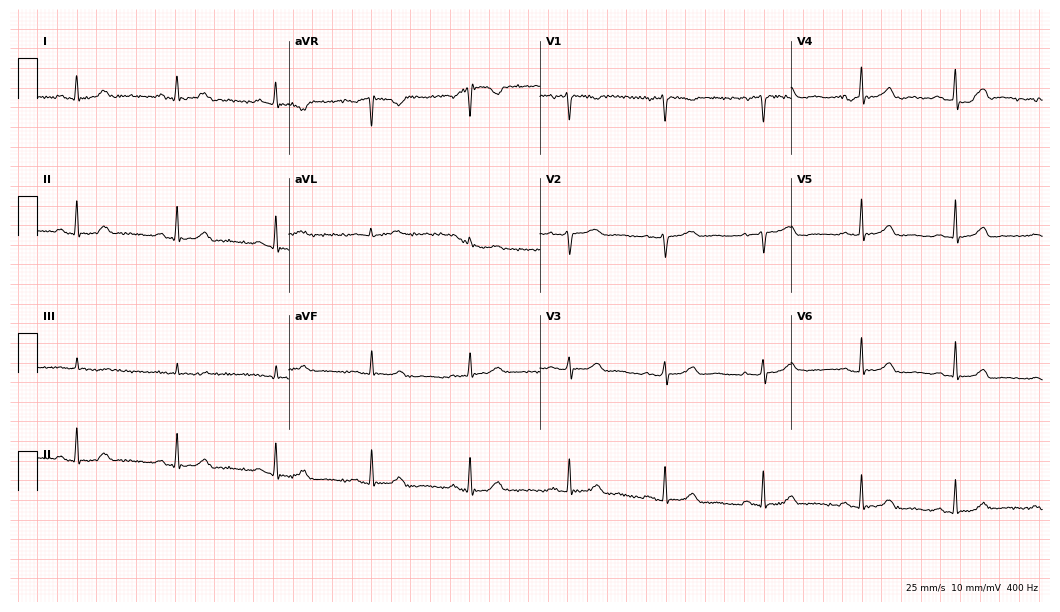
Resting 12-lead electrocardiogram. Patient: a female, 53 years old. Read as a normal ECG.